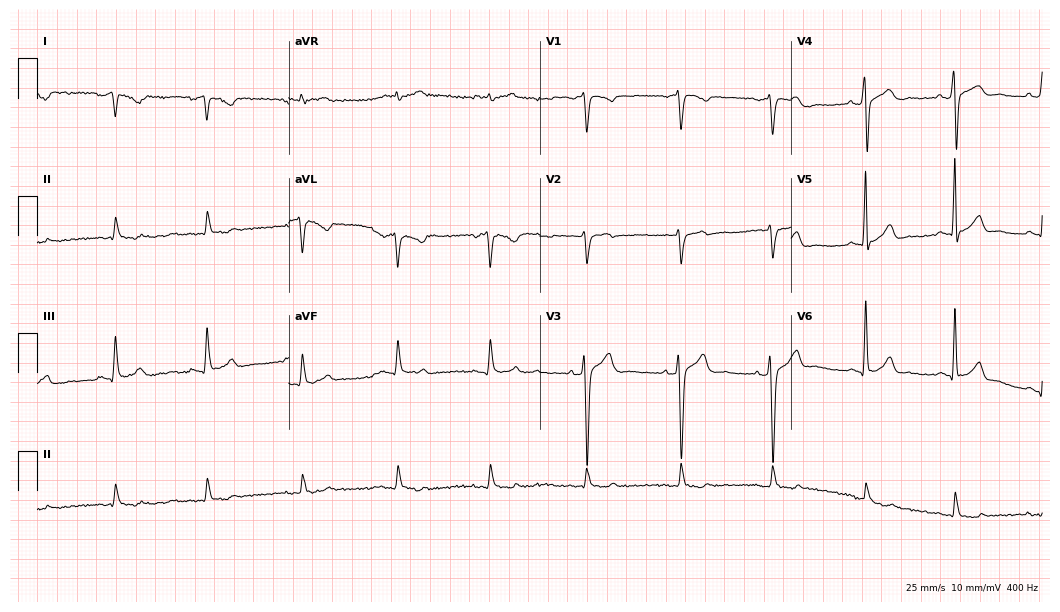
12-lead ECG from a 48-year-old male patient (10.2-second recording at 400 Hz). No first-degree AV block, right bundle branch block, left bundle branch block, sinus bradycardia, atrial fibrillation or sinus tachycardia recorded for this tracing. Only these six findings were labelled.